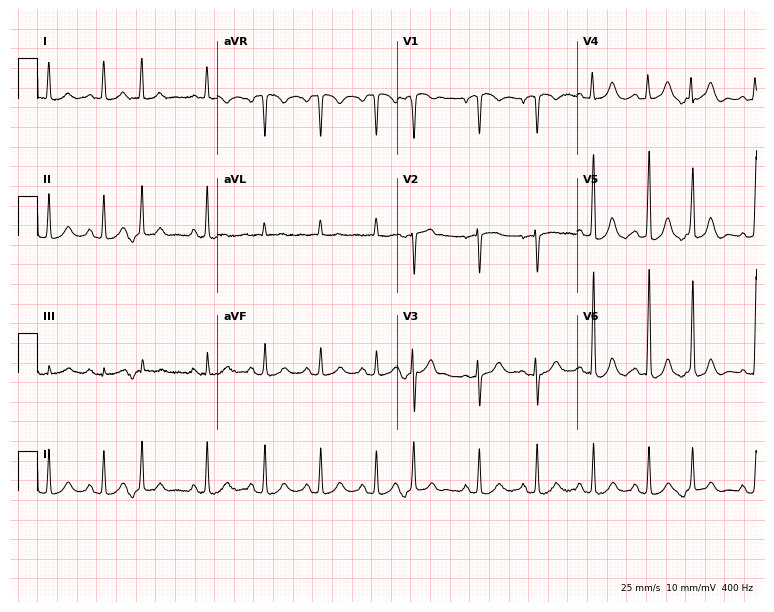
Electrocardiogram (7.3-second recording at 400 Hz), a female patient, 84 years old. Of the six screened findings (first-degree AV block, right bundle branch block, left bundle branch block, sinus bradycardia, atrial fibrillation, sinus tachycardia), none is recorded.